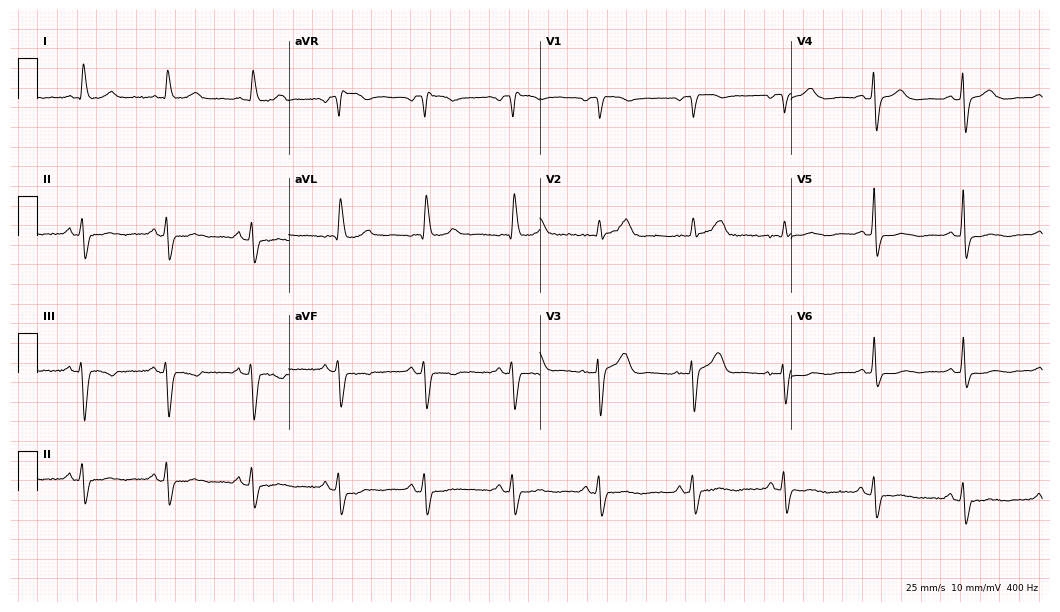
ECG (10.2-second recording at 400 Hz) — an 81-year-old female. Screened for six findings — first-degree AV block, right bundle branch block, left bundle branch block, sinus bradycardia, atrial fibrillation, sinus tachycardia — none is recorded.